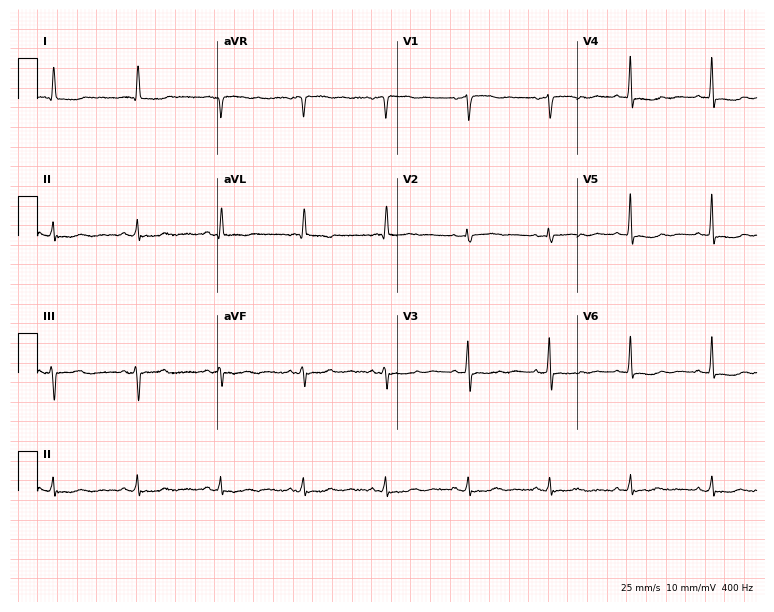
ECG — a female, 79 years old. Screened for six findings — first-degree AV block, right bundle branch block, left bundle branch block, sinus bradycardia, atrial fibrillation, sinus tachycardia — none is recorded.